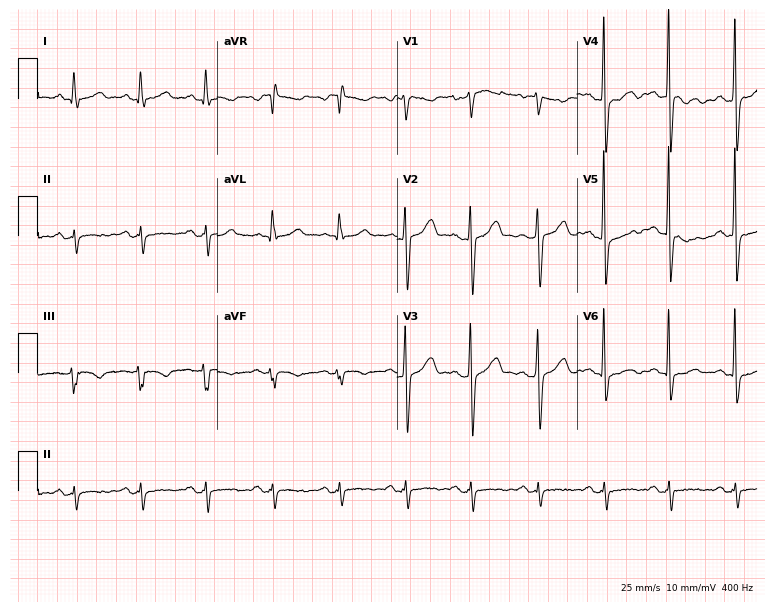
12-lead ECG from a man, 50 years old. Screened for six findings — first-degree AV block, right bundle branch block (RBBB), left bundle branch block (LBBB), sinus bradycardia, atrial fibrillation (AF), sinus tachycardia — none is recorded.